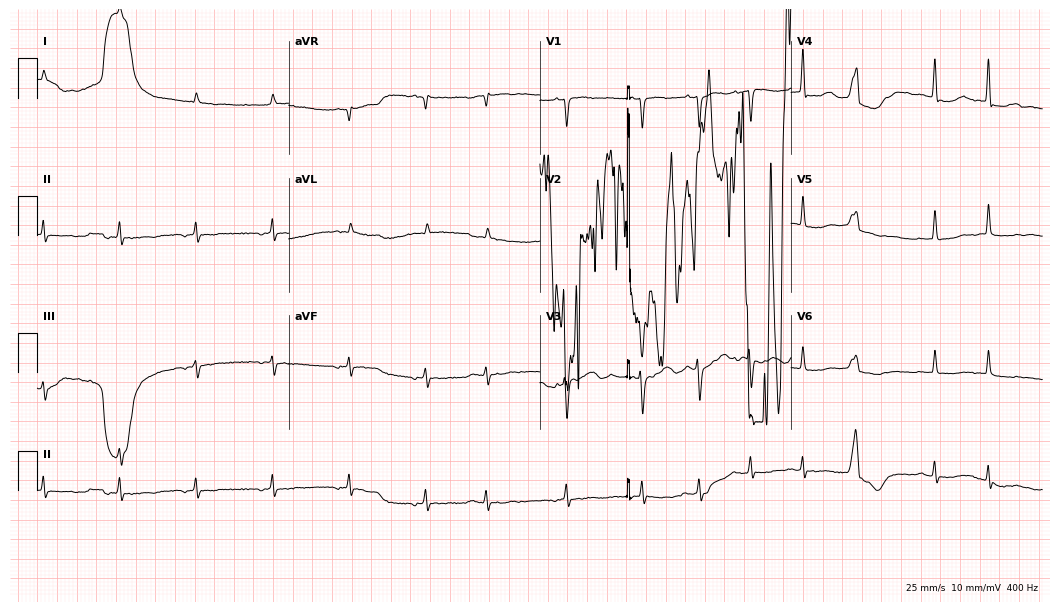
ECG — a man, 85 years old. Screened for six findings — first-degree AV block, right bundle branch block (RBBB), left bundle branch block (LBBB), sinus bradycardia, atrial fibrillation (AF), sinus tachycardia — none is recorded.